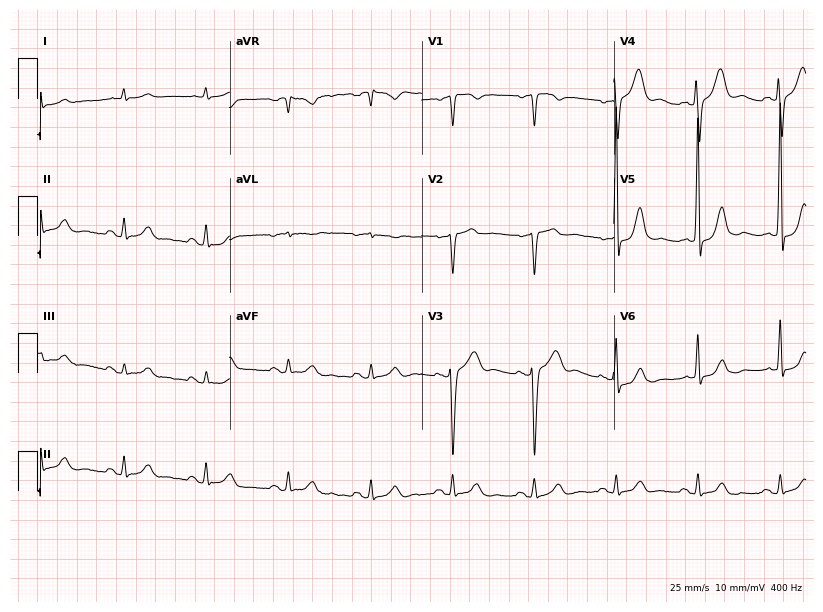
Electrocardiogram (7.8-second recording at 400 Hz), a 71-year-old male patient. Of the six screened findings (first-degree AV block, right bundle branch block, left bundle branch block, sinus bradycardia, atrial fibrillation, sinus tachycardia), none is recorded. Only these six findings were labelled.